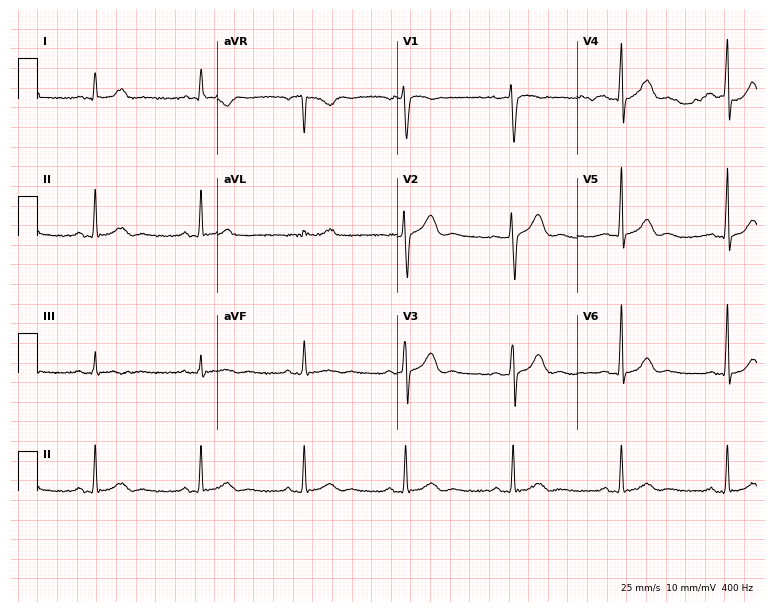
12-lead ECG from a male patient, 36 years old. Labelled as a normal ECG.